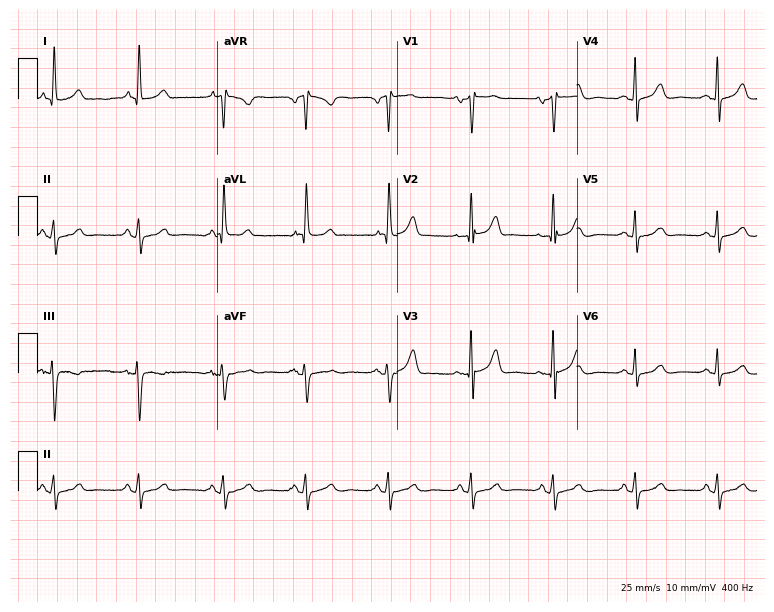
Standard 12-lead ECG recorded from a female, 60 years old. Read as a normal ECG.